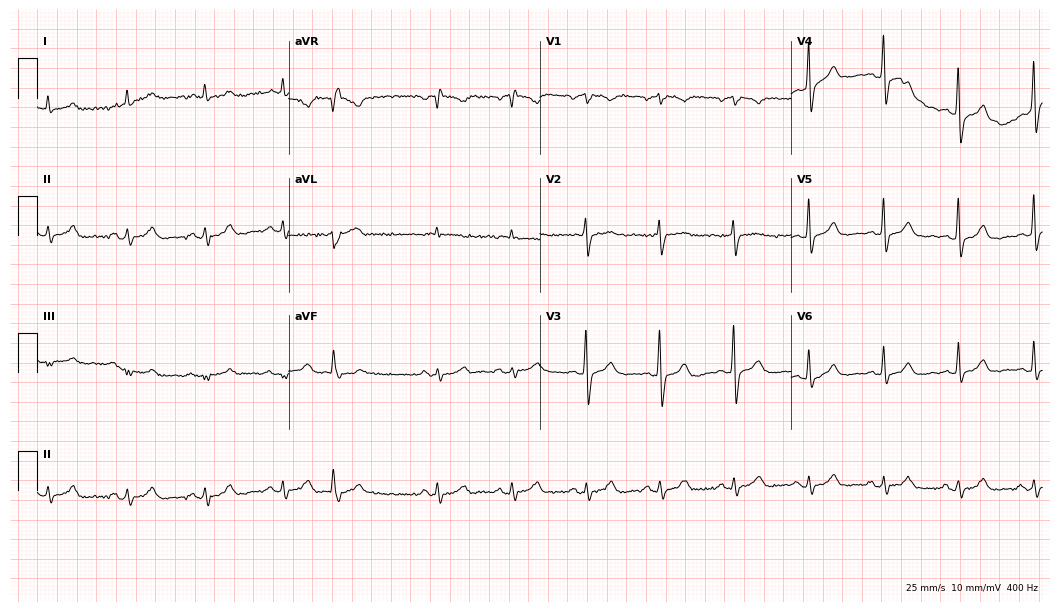
Electrocardiogram, a male, 71 years old. Of the six screened findings (first-degree AV block, right bundle branch block (RBBB), left bundle branch block (LBBB), sinus bradycardia, atrial fibrillation (AF), sinus tachycardia), none is recorded.